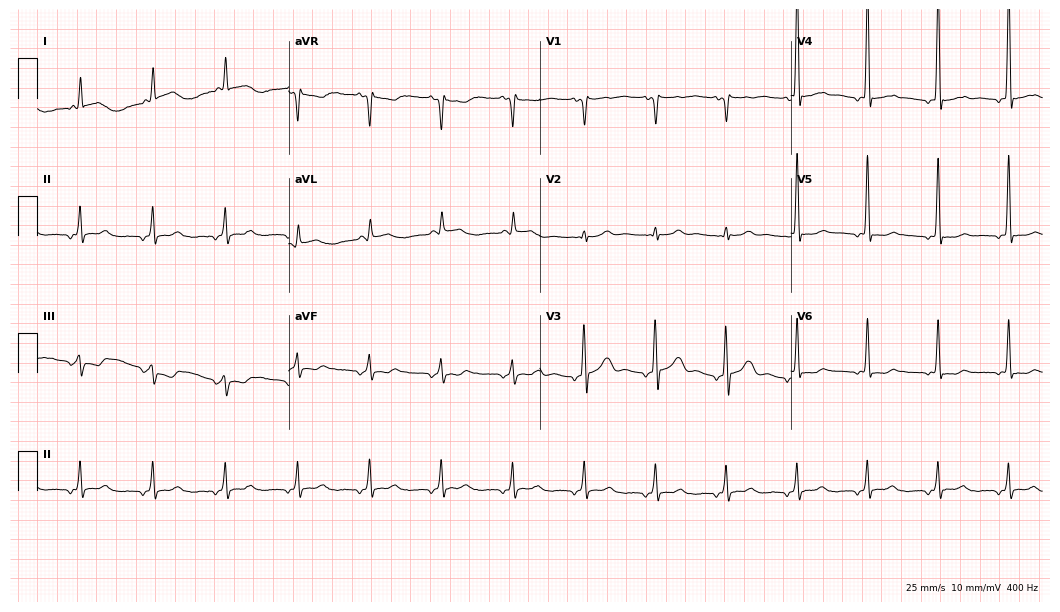
ECG (10.2-second recording at 400 Hz) — a male patient, 58 years old. Screened for six findings — first-degree AV block, right bundle branch block, left bundle branch block, sinus bradycardia, atrial fibrillation, sinus tachycardia — none is recorded. Other findings, if any, are not listed.